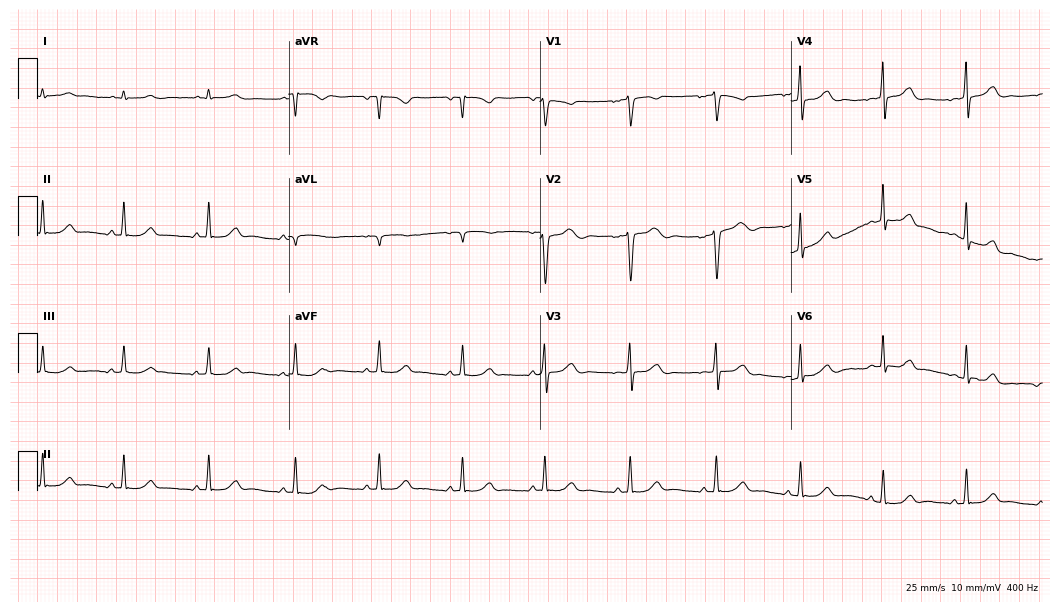
12-lead ECG from a female patient, 21 years old (10.2-second recording at 400 Hz). Recorded interpretation: within normal limits.